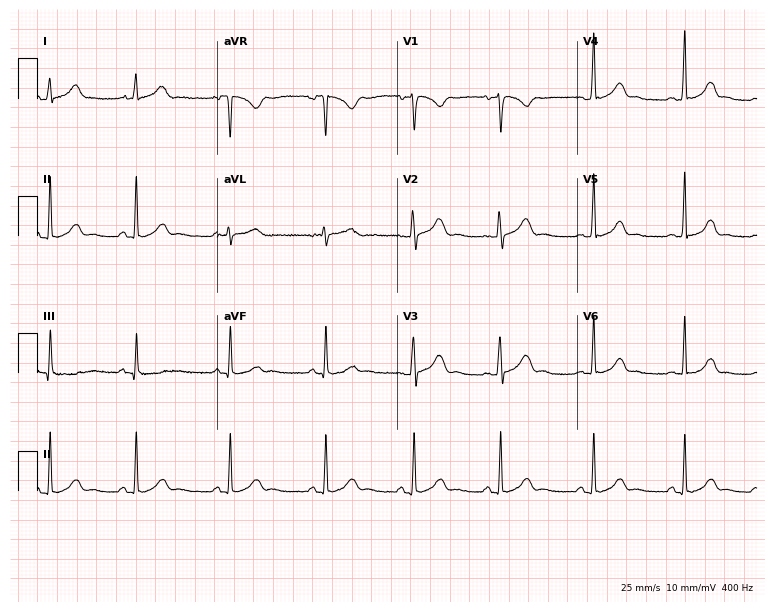
Electrocardiogram, a 20-year-old female patient. Overall reading on record: normal ECG.